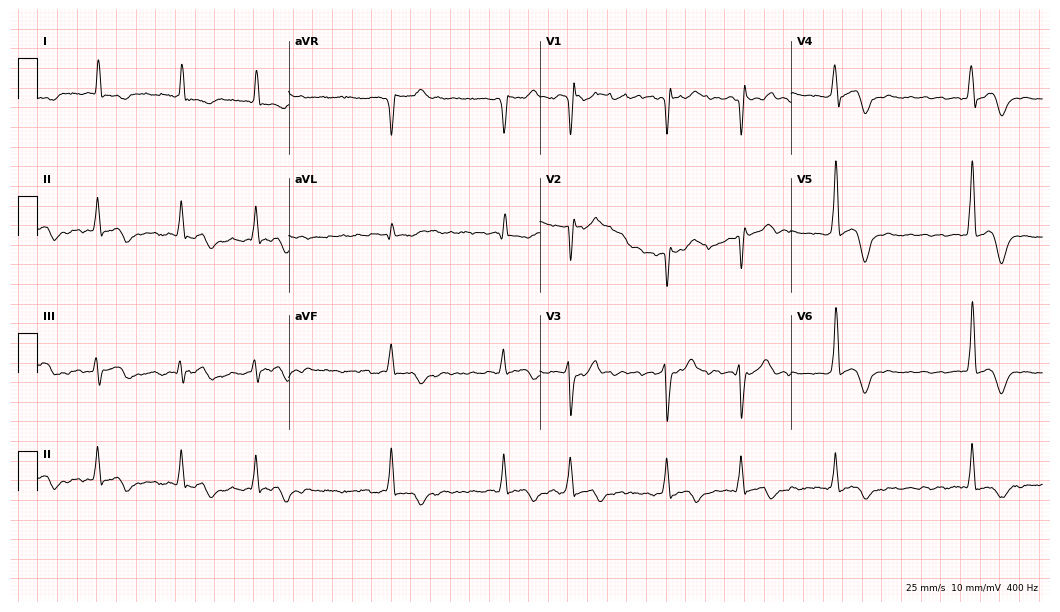
Resting 12-lead electrocardiogram. Patient: a female, 76 years old. The tracing shows atrial fibrillation.